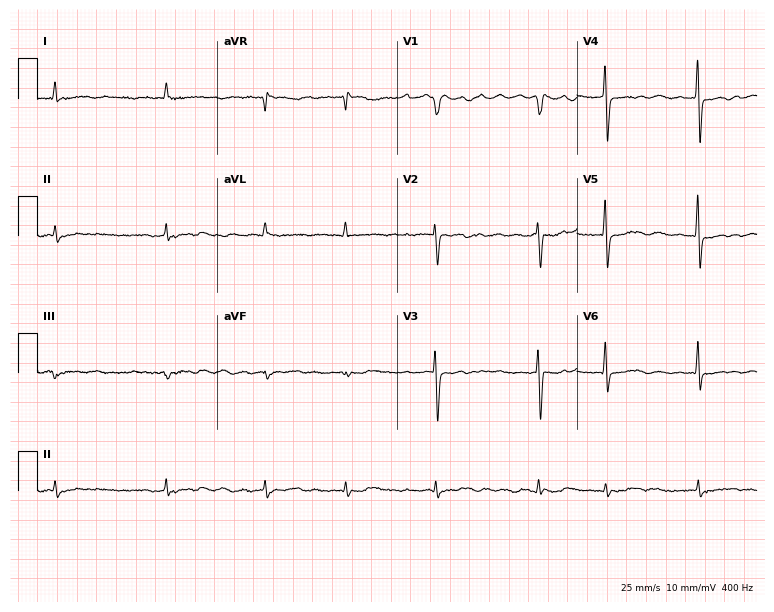
12-lead ECG from a male, 76 years old. Findings include atrial fibrillation.